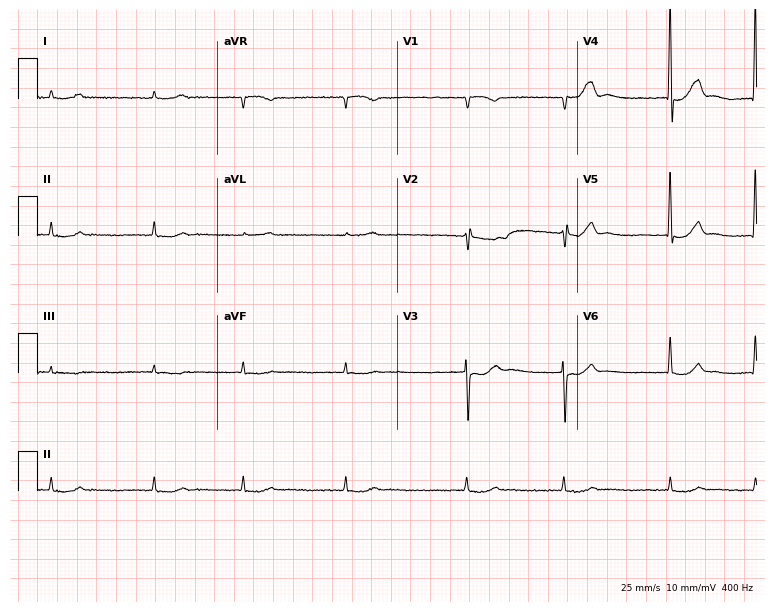
Electrocardiogram, a man, 82 years old. Interpretation includes atrial fibrillation (AF).